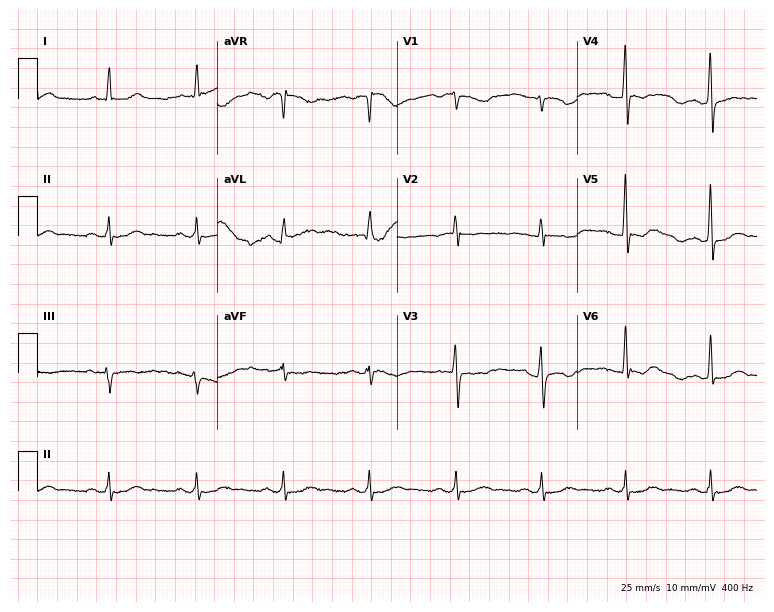
ECG (7.3-second recording at 400 Hz) — a man, 66 years old. Labelled as a normal ECG.